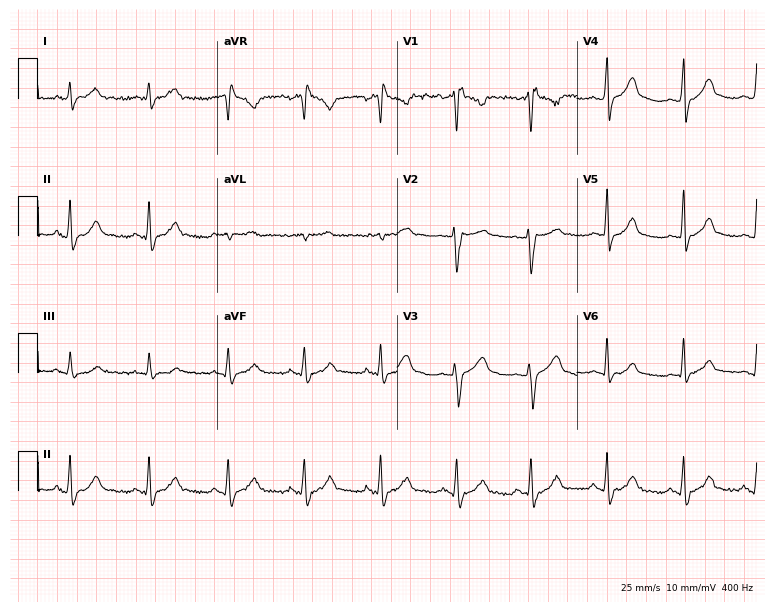
12-lead ECG from a 22-year-old man. No first-degree AV block, right bundle branch block (RBBB), left bundle branch block (LBBB), sinus bradycardia, atrial fibrillation (AF) or sinus tachycardia recorded for this tracing. Findings outside these six are not listed.